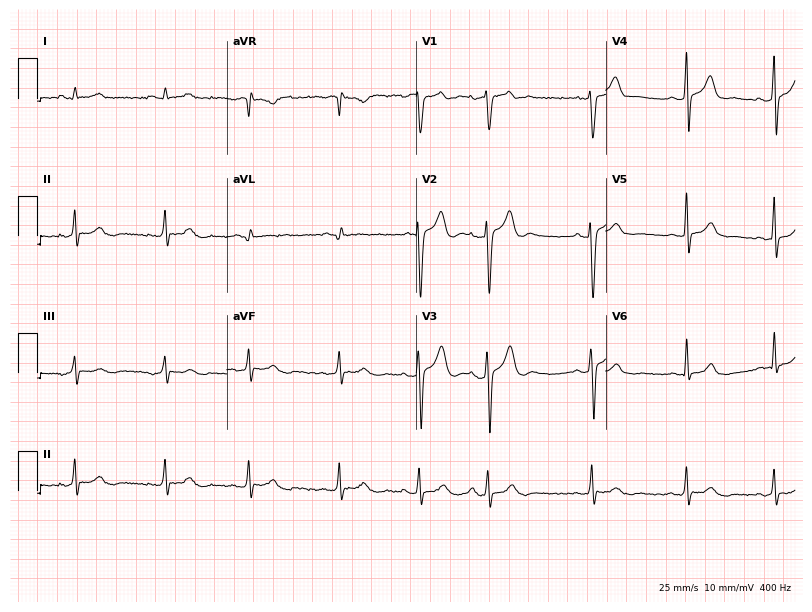
ECG (7.7-second recording at 400 Hz) — an 18-year-old man. Labelled as a normal ECG.